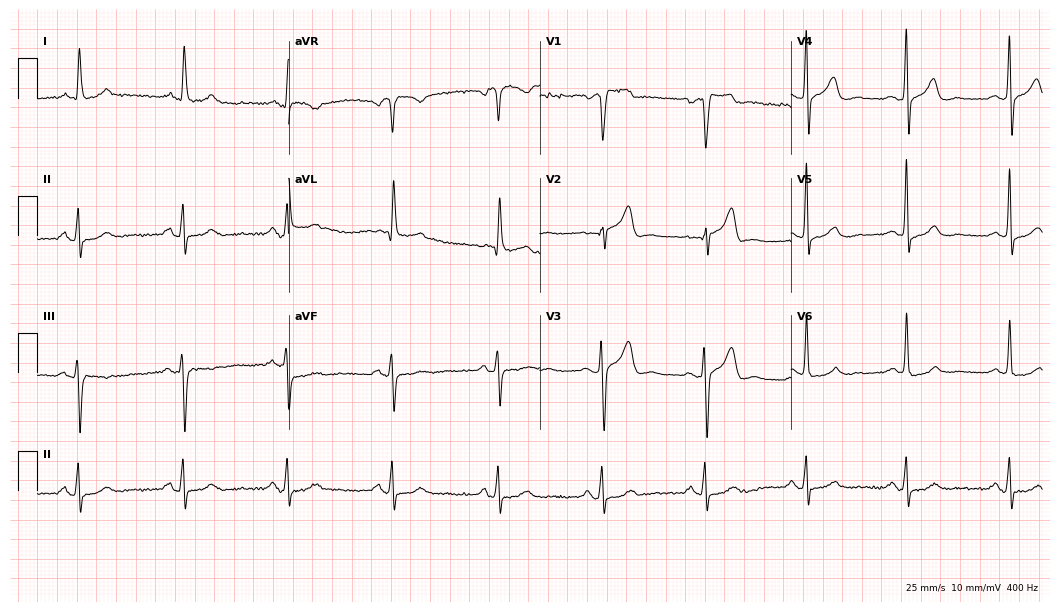
12-lead ECG (10.2-second recording at 400 Hz) from a male patient, 72 years old. Labelled as a normal ECG.